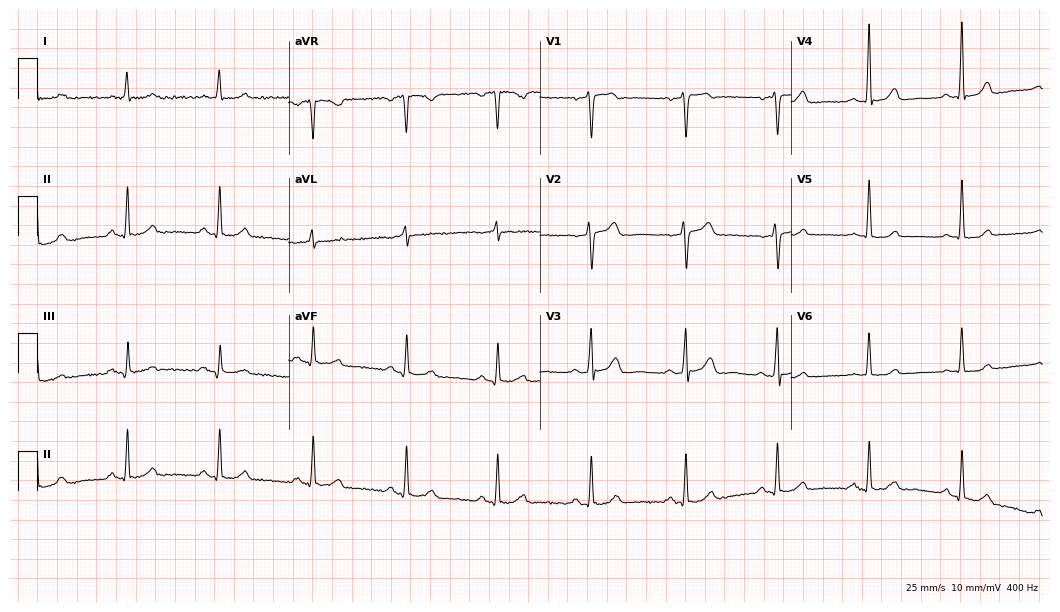
Electrocardiogram (10.2-second recording at 400 Hz), a woman, 52 years old. Of the six screened findings (first-degree AV block, right bundle branch block (RBBB), left bundle branch block (LBBB), sinus bradycardia, atrial fibrillation (AF), sinus tachycardia), none is recorded. Only these six findings were labelled.